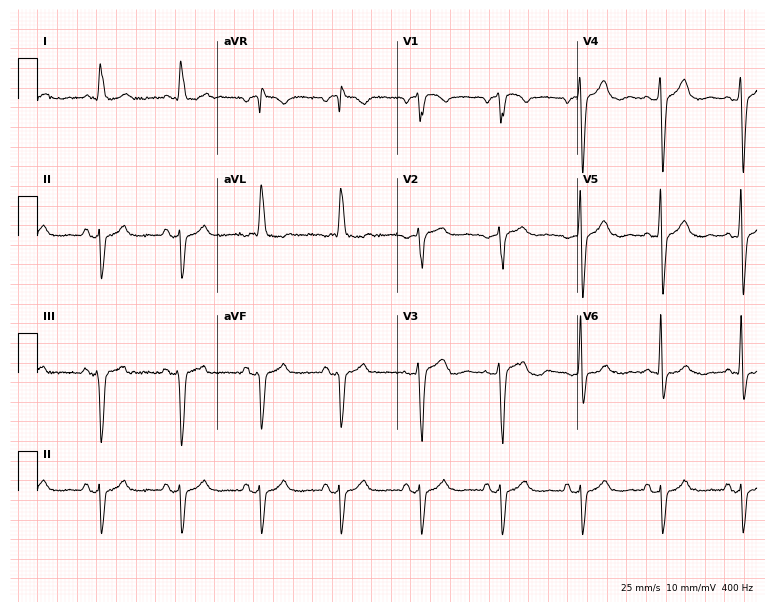
Resting 12-lead electrocardiogram (7.3-second recording at 400 Hz). Patient: a man, 70 years old. None of these six findings is recorded: first-degree AV block, right bundle branch block, left bundle branch block, sinus bradycardia, atrial fibrillation, sinus tachycardia.